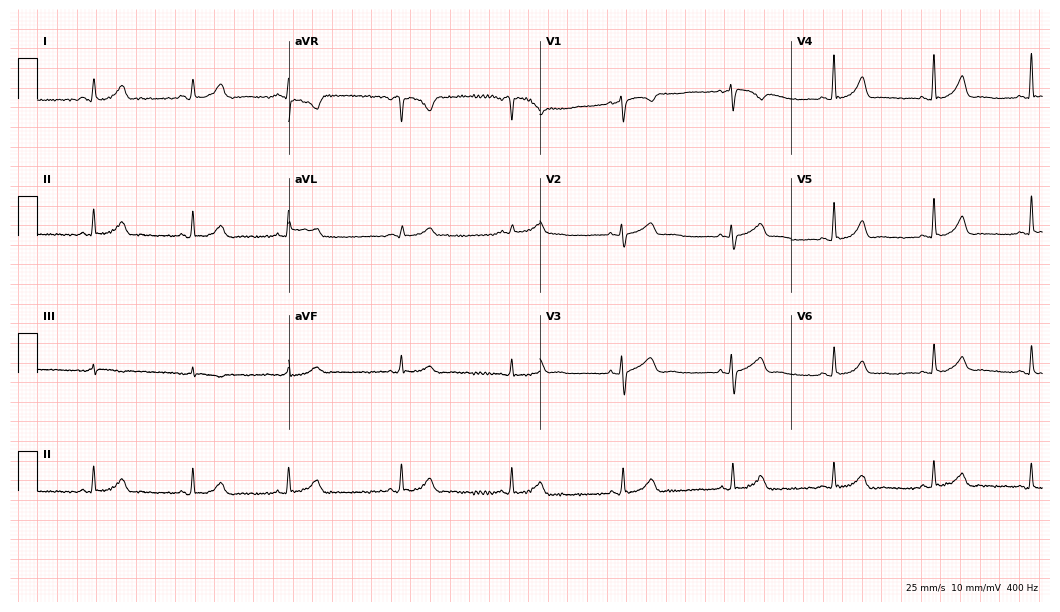
Resting 12-lead electrocardiogram. Patient: a 35-year-old female. Read as a normal ECG.